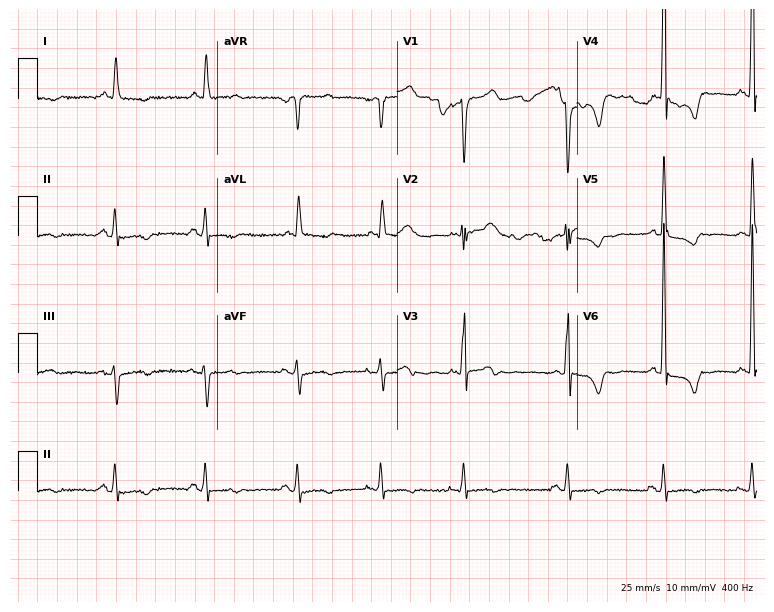
Standard 12-lead ECG recorded from a male patient, 67 years old (7.3-second recording at 400 Hz). None of these six findings is recorded: first-degree AV block, right bundle branch block, left bundle branch block, sinus bradycardia, atrial fibrillation, sinus tachycardia.